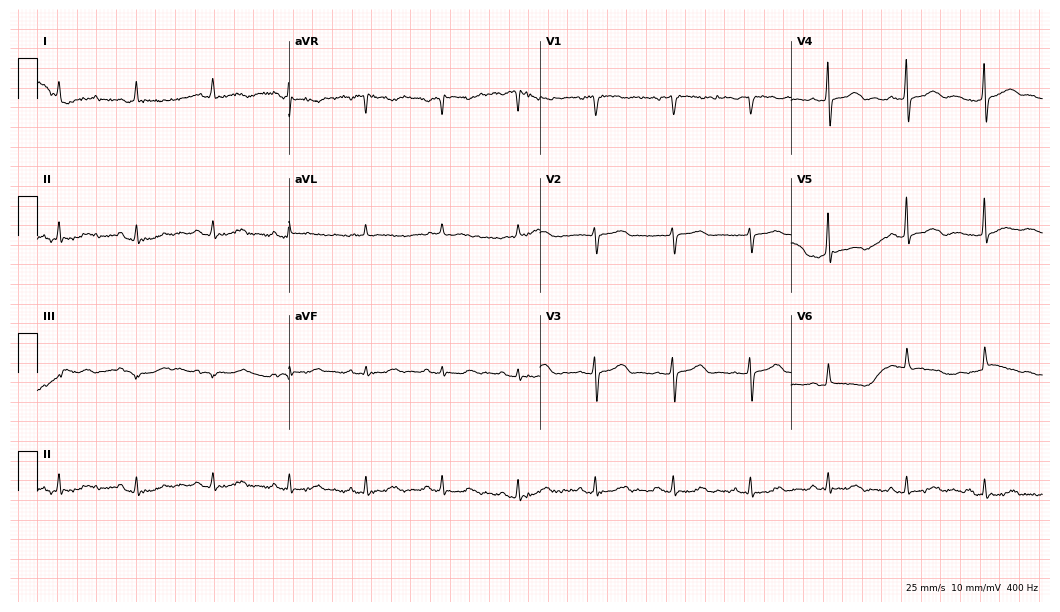
ECG — a female patient, 69 years old. Screened for six findings — first-degree AV block, right bundle branch block, left bundle branch block, sinus bradycardia, atrial fibrillation, sinus tachycardia — none is recorded.